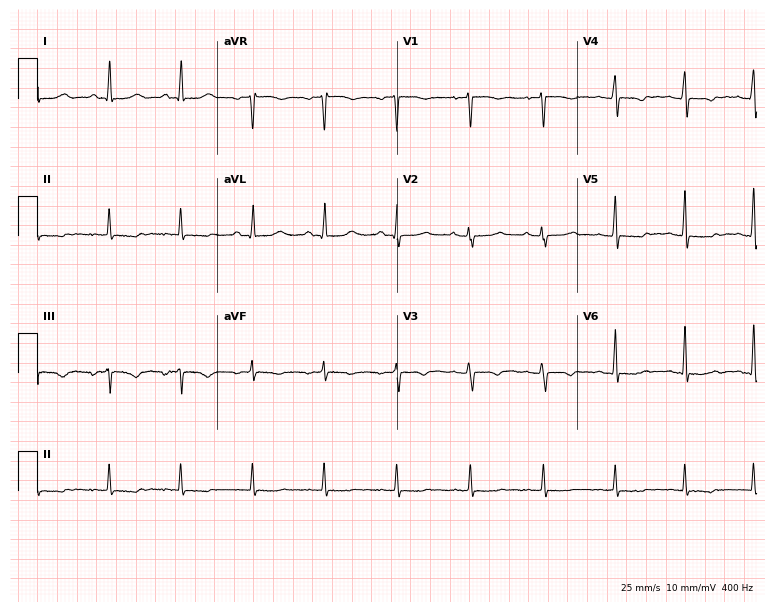
Electrocardiogram (7.3-second recording at 400 Hz), a woman, 37 years old. Of the six screened findings (first-degree AV block, right bundle branch block, left bundle branch block, sinus bradycardia, atrial fibrillation, sinus tachycardia), none is recorded.